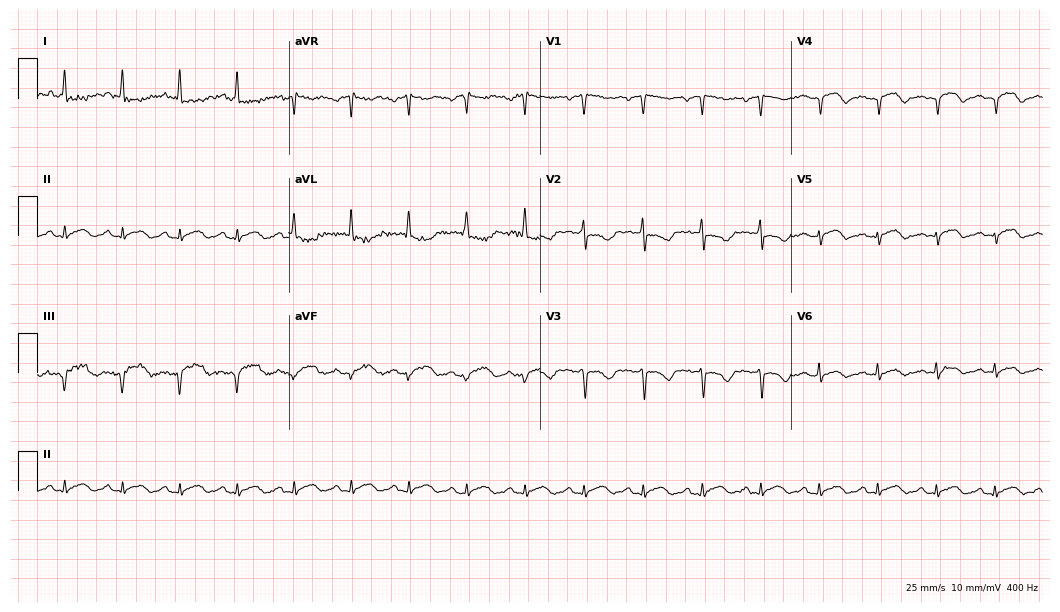
12-lead ECG (10.2-second recording at 400 Hz) from a 70-year-old woman. Findings include sinus tachycardia (a sinus rate of 100 beats per minute or more).